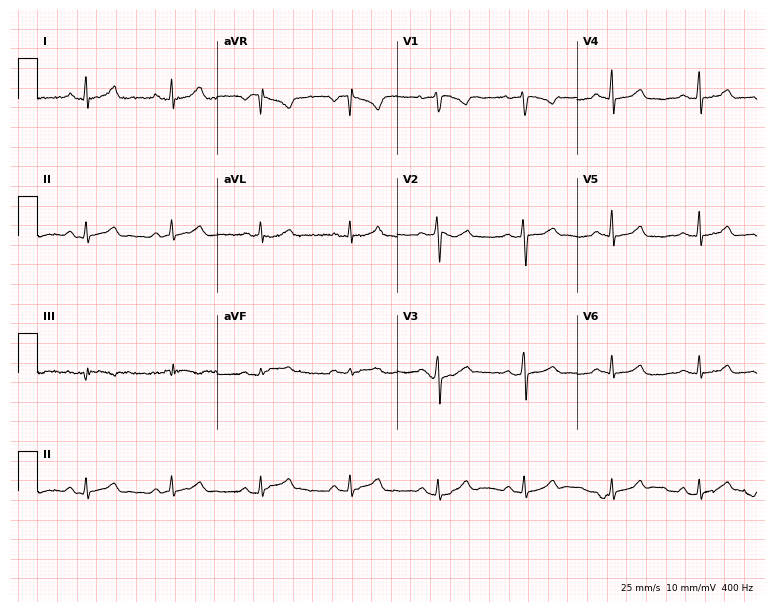
Resting 12-lead electrocardiogram (7.3-second recording at 400 Hz). Patient: a 35-year-old female. Read as a normal ECG.